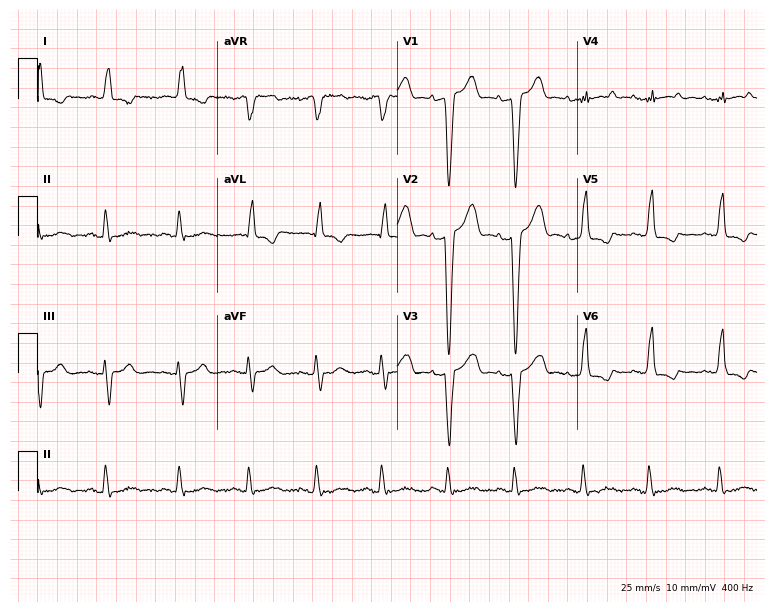
12-lead ECG from an 82-year-old woman. No first-degree AV block, right bundle branch block (RBBB), left bundle branch block (LBBB), sinus bradycardia, atrial fibrillation (AF) or sinus tachycardia recorded for this tracing.